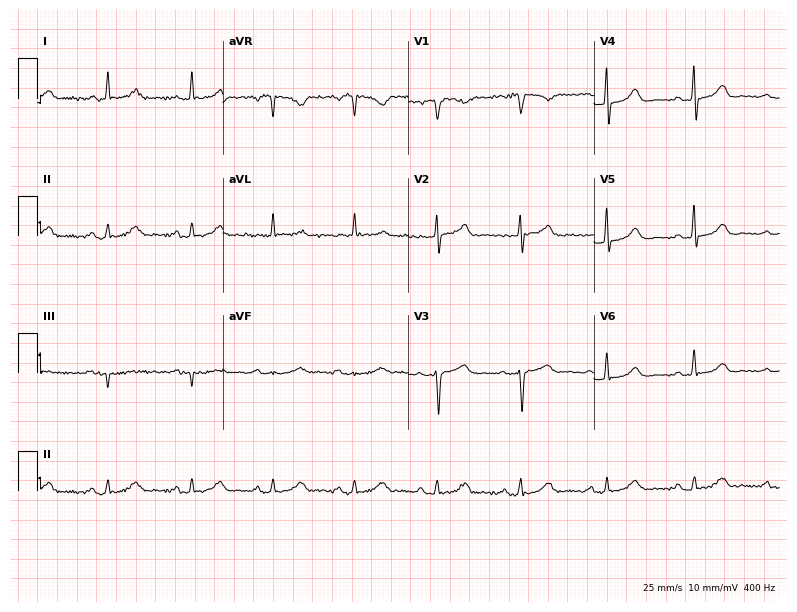
12-lead ECG from a 66-year-old female. No first-degree AV block, right bundle branch block, left bundle branch block, sinus bradycardia, atrial fibrillation or sinus tachycardia recorded for this tracing.